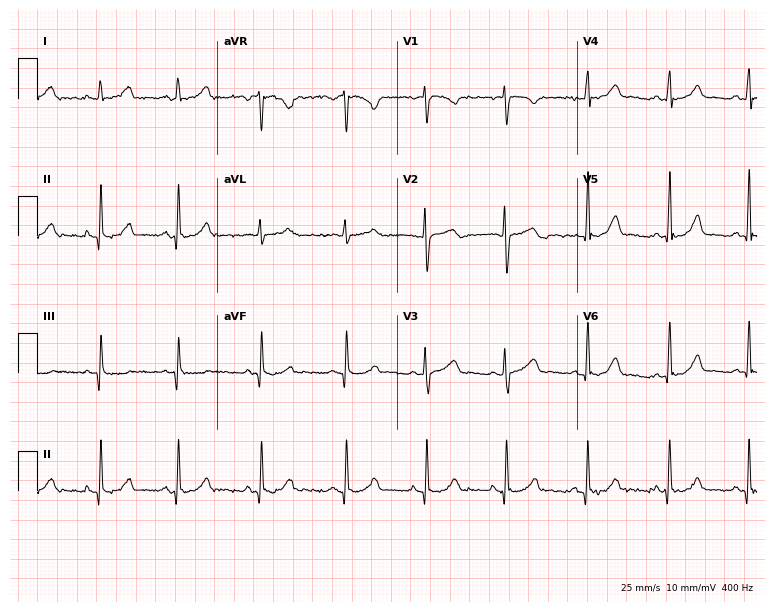
ECG — a 40-year-old female. Labelled as a normal ECG.